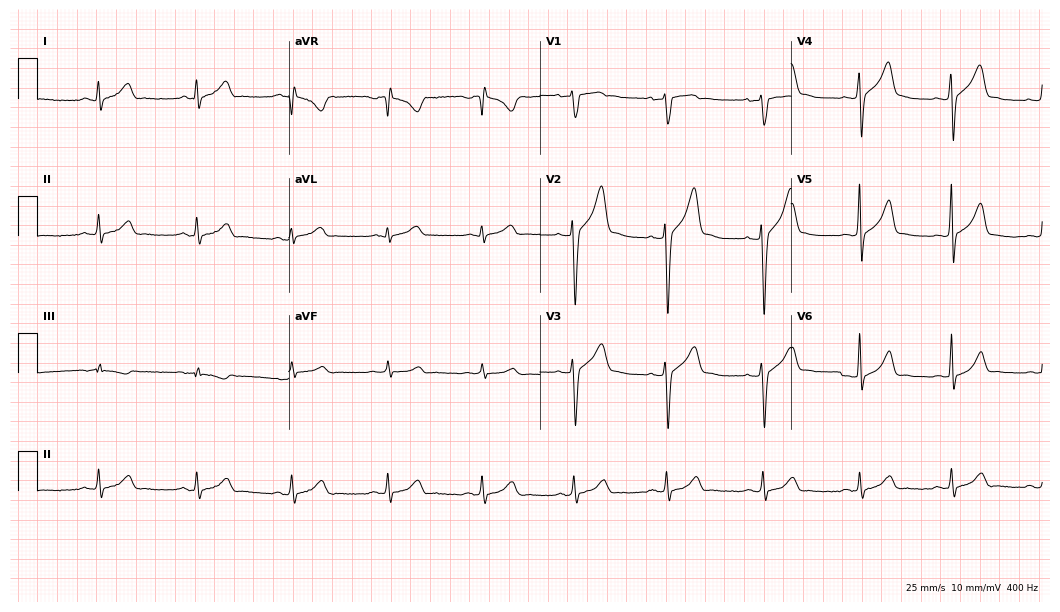
Electrocardiogram (10.2-second recording at 400 Hz), a male, 21 years old. Overall reading on record: normal ECG.